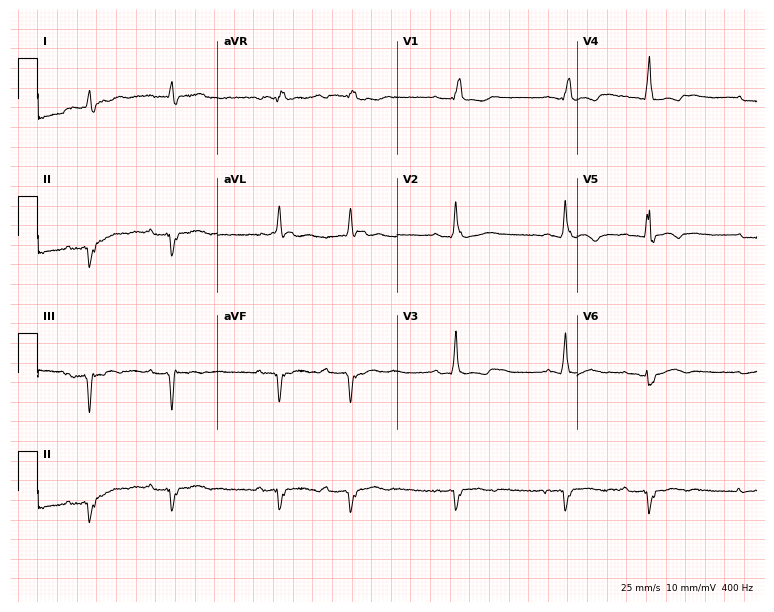
Standard 12-lead ECG recorded from an 85-year-old man. The tracing shows right bundle branch block (RBBB), atrial fibrillation (AF).